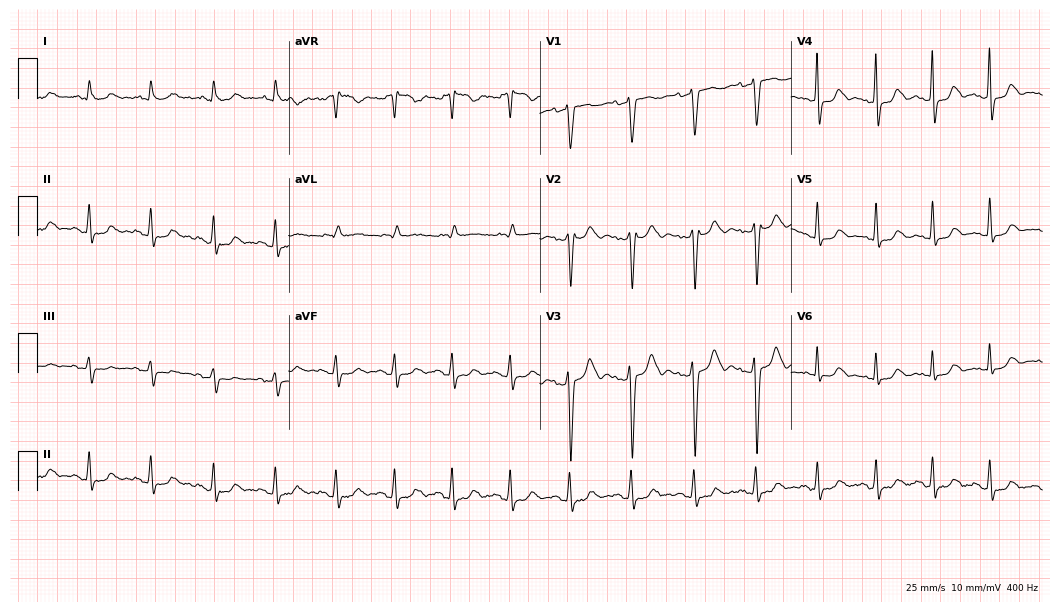
ECG (10.2-second recording at 400 Hz) — a 36-year-old female patient. Labelled as a normal ECG.